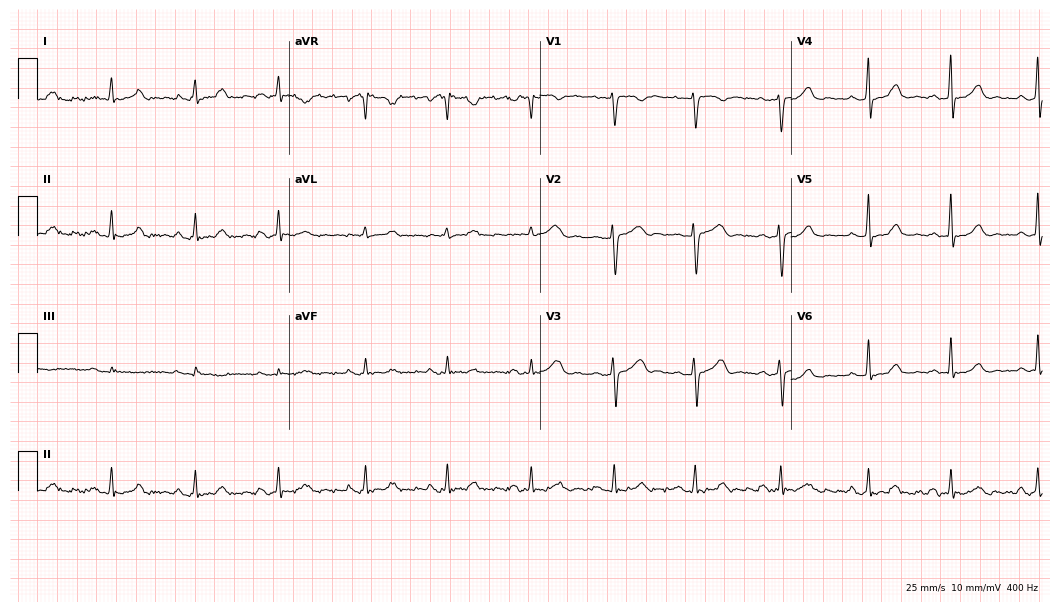
ECG — a 32-year-old female. Labelled as a normal ECG.